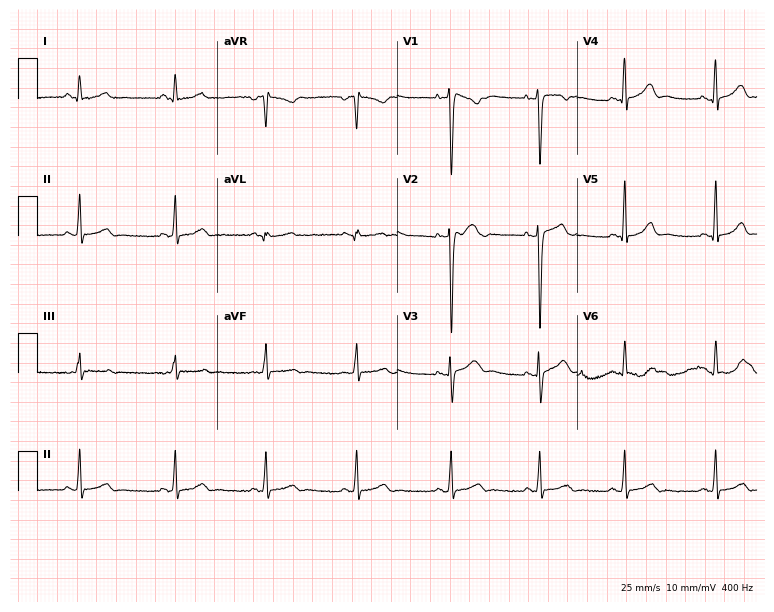
12-lead ECG from a 17-year-old male patient. Screened for six findings — first-degree AV block, right bundle branch block, left bundle branch block, sinus bradycardia, atrial fibrillation, sinus tachycardia — none is recorded. Only these six findings were labelled.